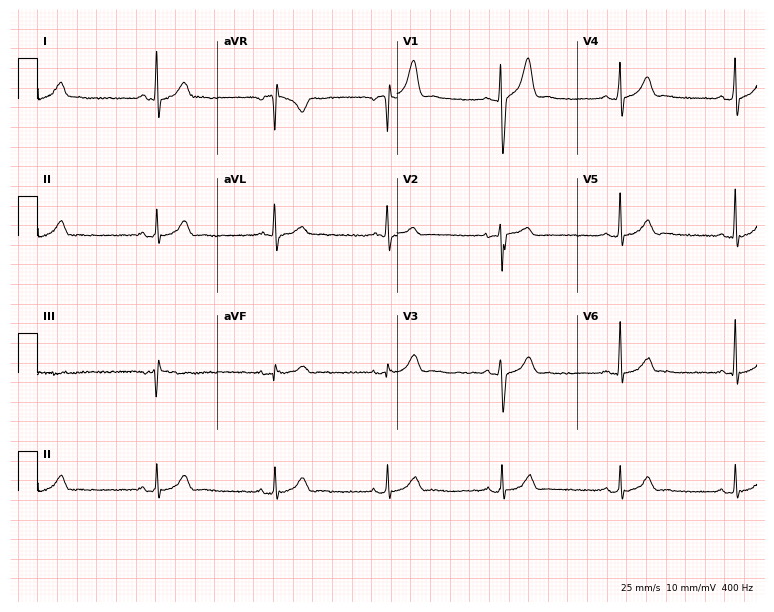
12-lead ECG from a 39-year-old man. Labelled as a normal ECG.